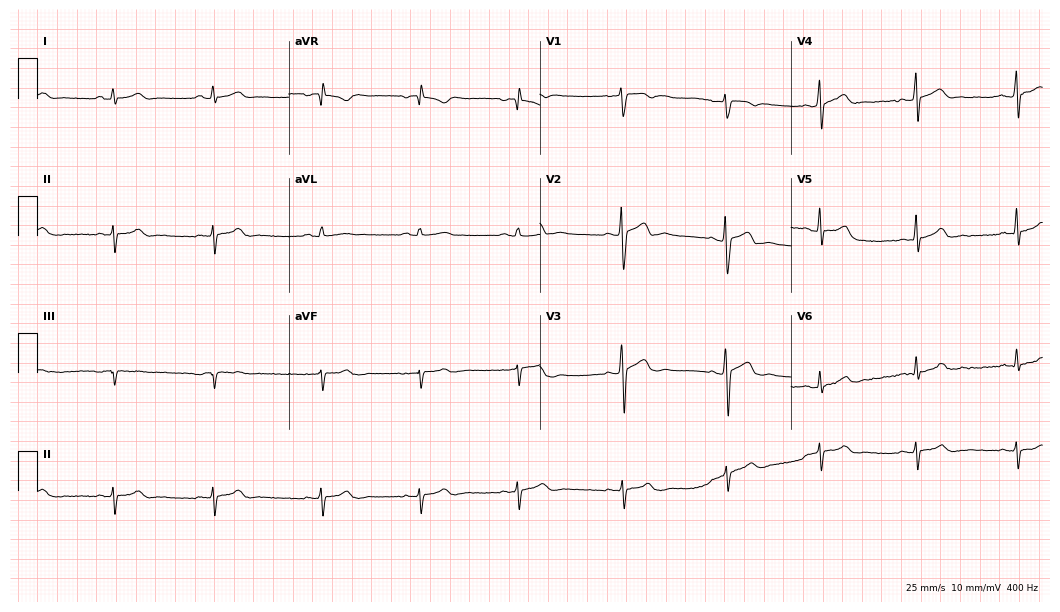
Resting 12-lead electrocardiogram. Patient: a 19-year-old man. None of these six findings is recorded: first-degree AV block, right bundle branch block, left bundle branch block, sinus bradycardia, atrial fibrillation, sinus tachycardia.